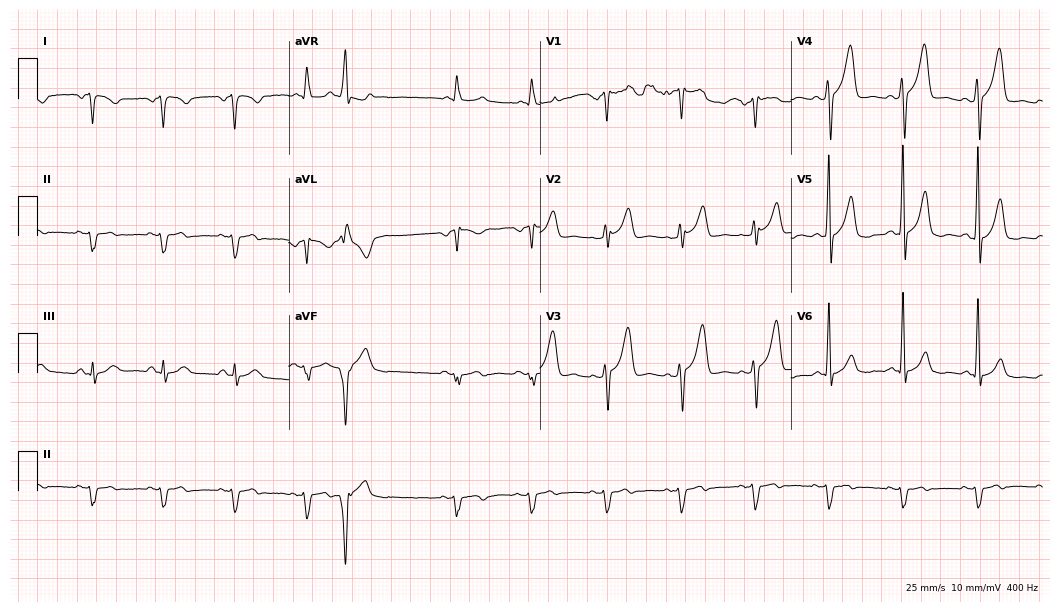
ECG — a male patient, 50 years old. Screened for six findings — first-degree AV block, right bundle branch block, left bundle branch block, sinus bradycardia, atrial fibrillation, sinus tachycardia — none is recorded.